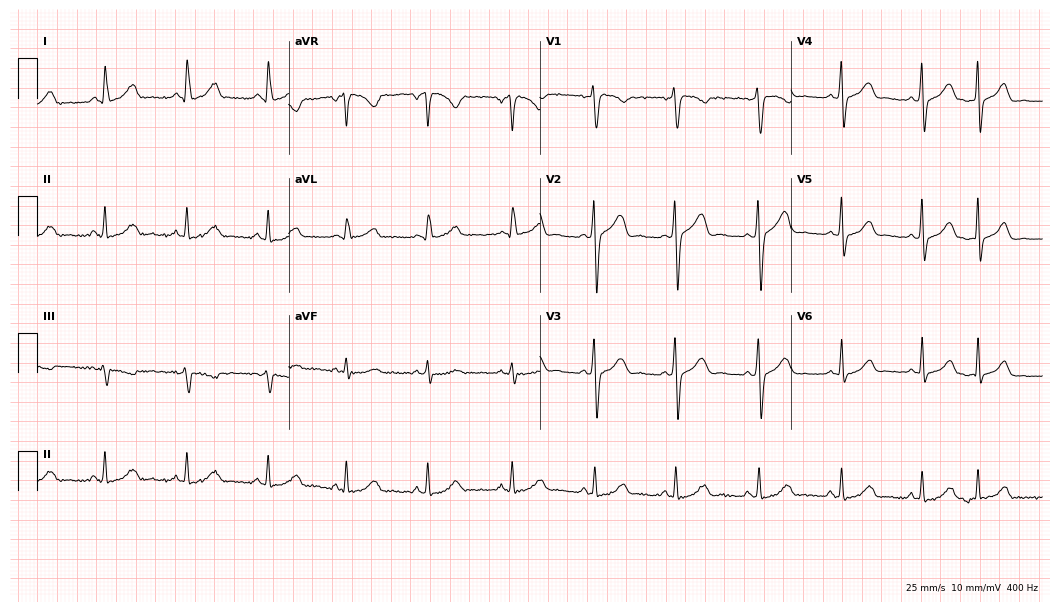
Electrocardiogram, a female patient, 41 years old. Overall reading on record: normal ECG.